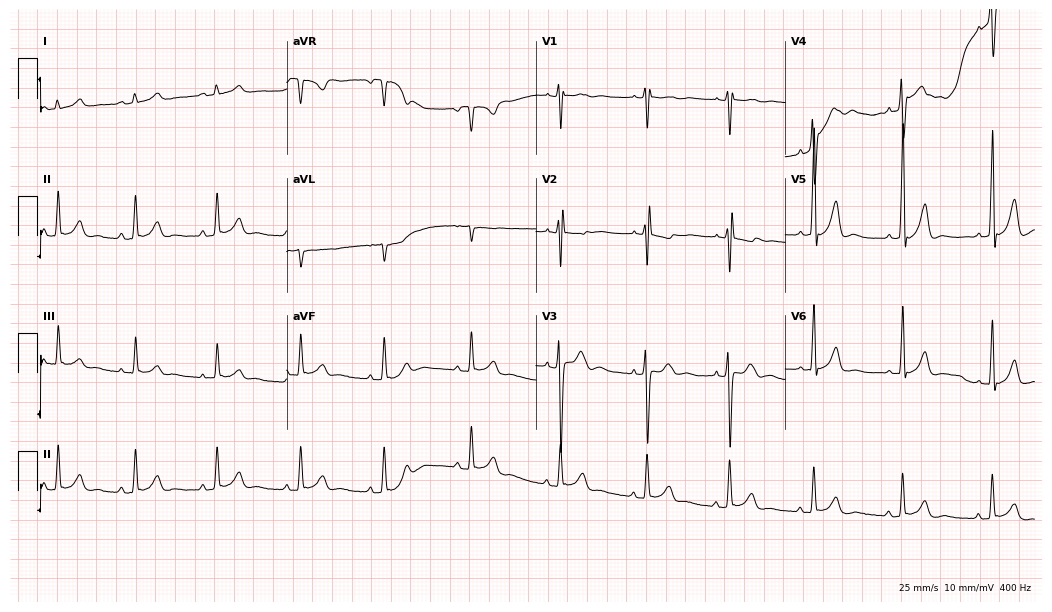
Resting 12-lead electrocardiogram. Patient: a 17-year-old man. None of these six findings is recorded: first-degree AV block, right bundle branch block, left bundle branch block, sinus bradycardia, atrial fibrillation, sinus tachycardia.